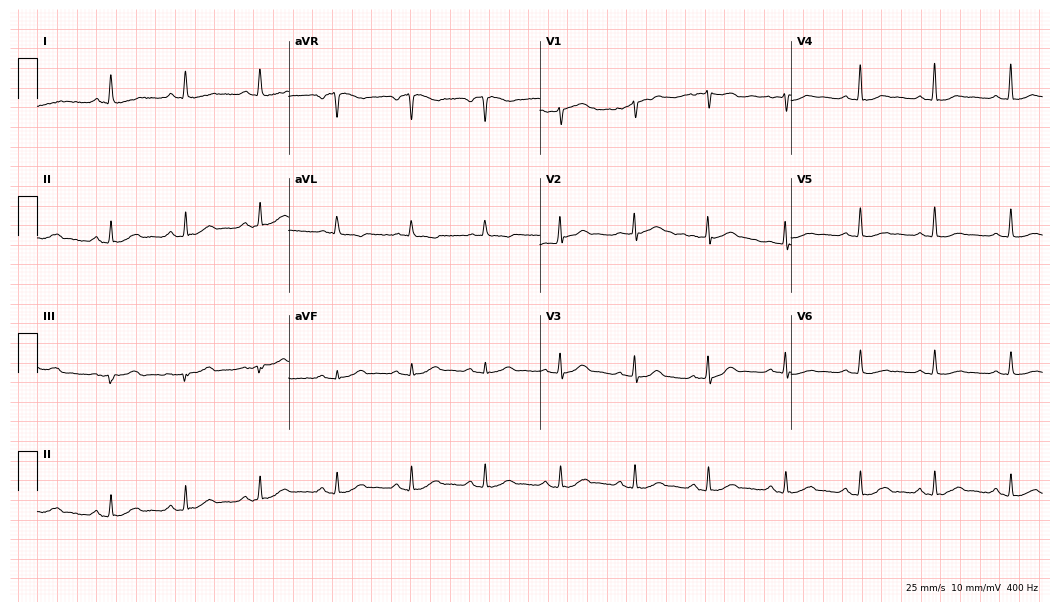
12-lead ECG (10.2-second recording at 400 Hz) from a 60-year-old female. Labelled as a normal ECG.